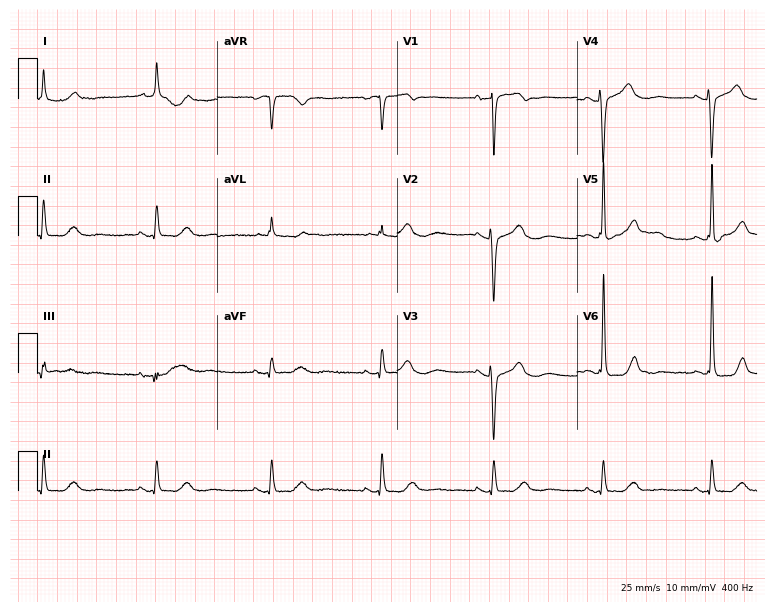
ECG — a 76-year-old woman. Screened for six findings — first-degree AV block, right bundle branch block, left bundle branch block, sinus bradycardia, atrial fibrillation, sinus tachycardia — none is recorded.